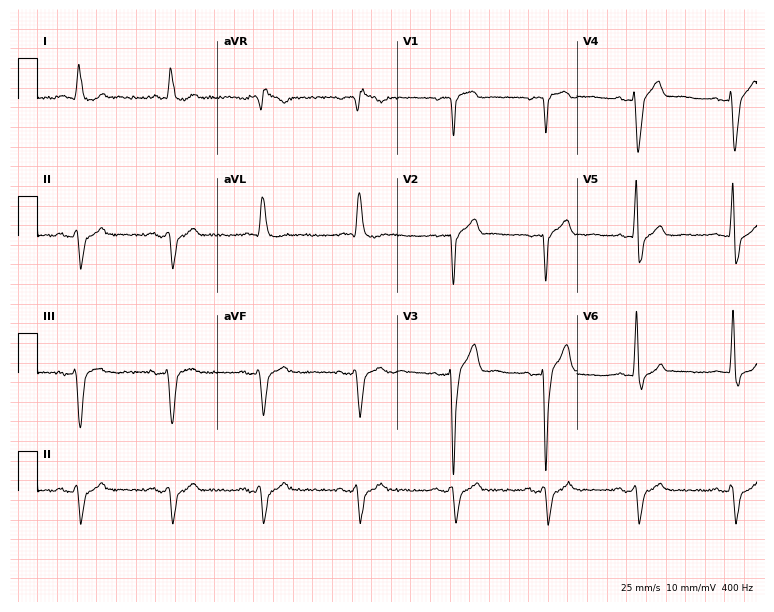
12-lead ECG from a male, 70 years old. Shows left bundle branch block.